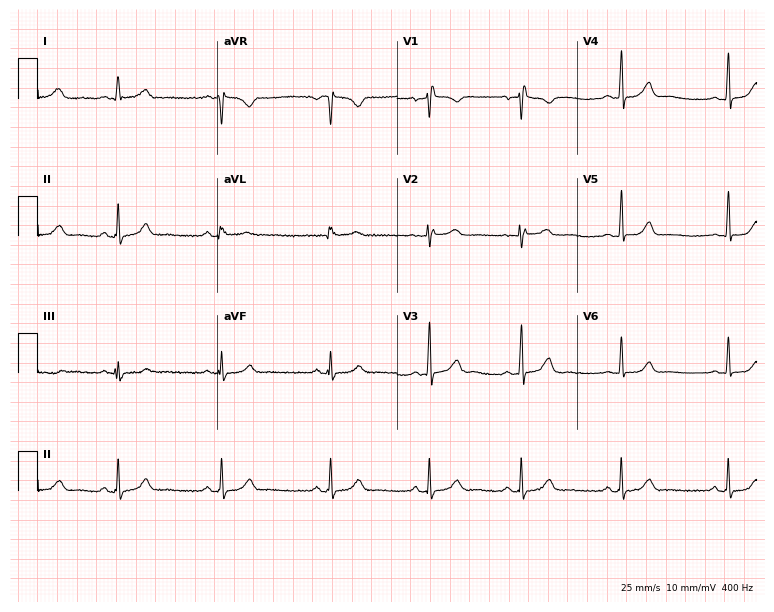
ECG — a female, 18 years old. Labelled as a normal ECG.